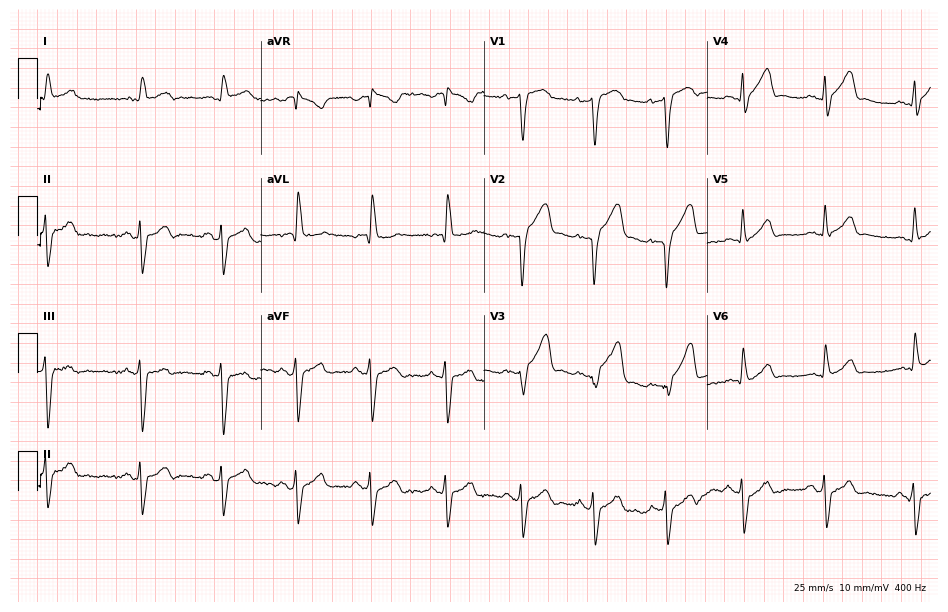
Standard 12-lead ECG recorded from a 45-year-old man. None of these six findings is recorded: first-degree AV block, right bundle branch block, left bundle branch block, sinus bradycardia, atrial fibrillation, sinus tachycardia. Only these six findings were labelled.